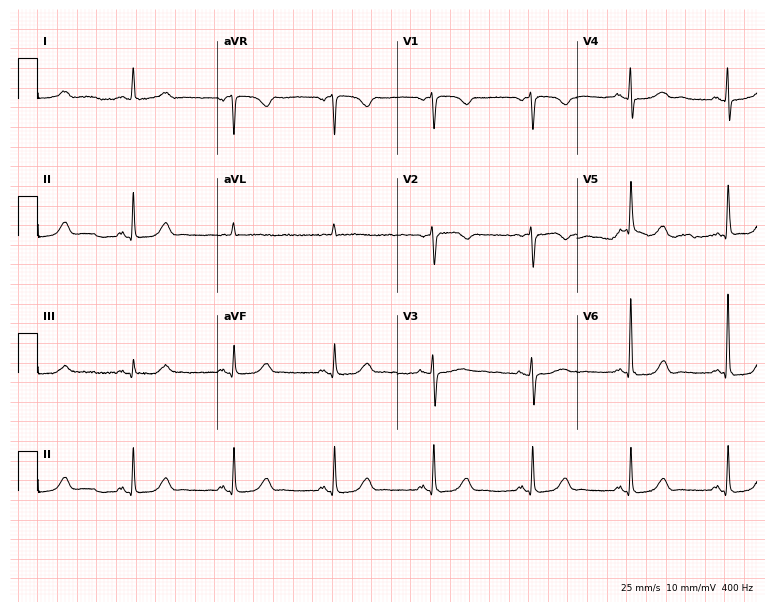
Resting 12-lead electrocardiogram (7.3-second recording at 400 Hz). Patient: a female, 63 years old. Read as a normal ECG.